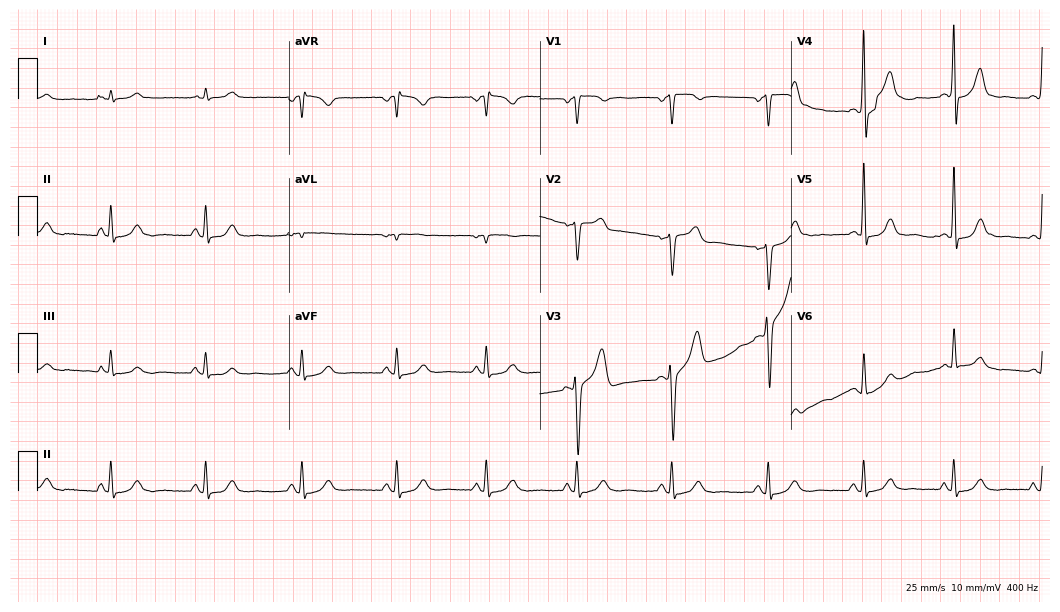
Electrocardiogram, a man, 58 years old. Overall reading on record: normal ECG.